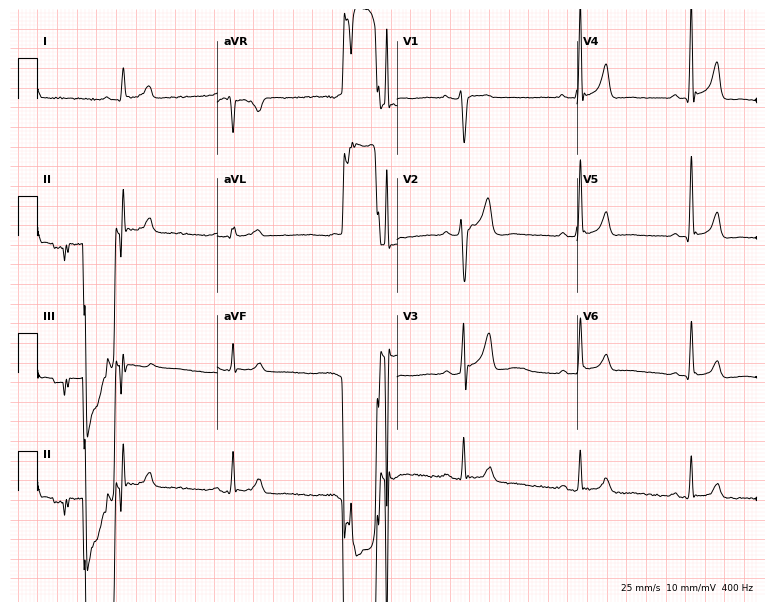
Electrocardiogram (7.3-second recording at 400 Hz), a male patient, 59 years old. Of the six screened findings (first-degree AV block, right bundle branch block, left bundle branch block, sinus bradycardia, atrial fibrillation, sinus tachycardia), none is recorded. Findings outside these six are not listed.